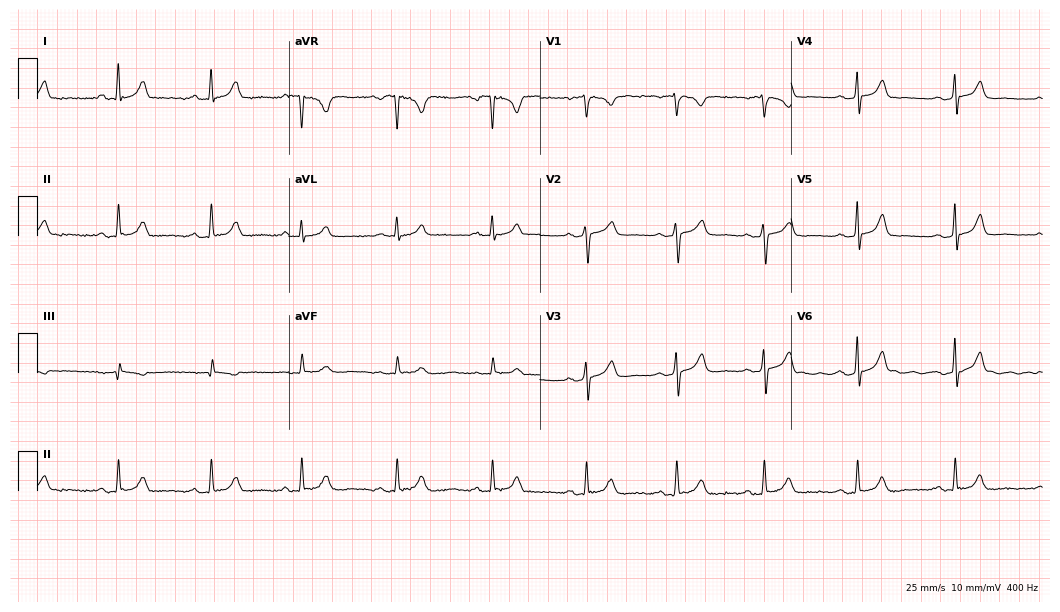
Electrocardiogram (10.2-second recording at 400 Hz), a female, 30 years old. Overall reading on record: normal ECG.